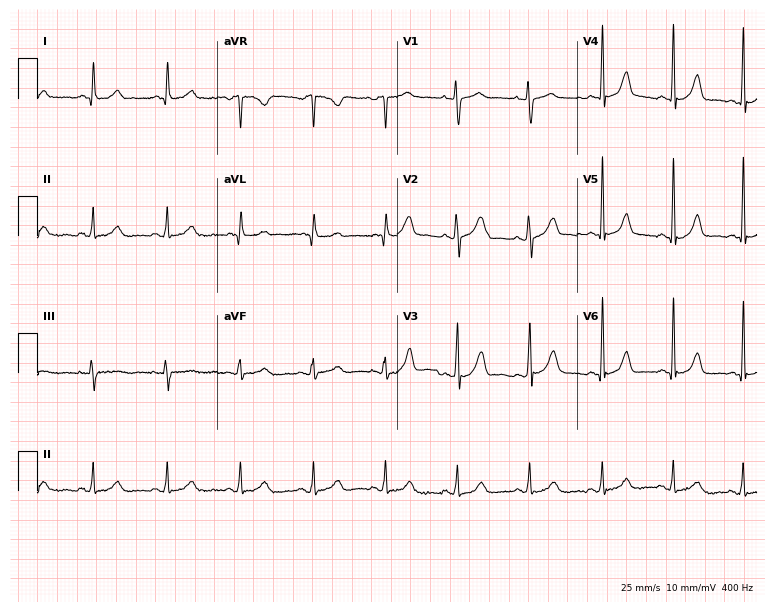
ECG — a 56-year-old female patient. Labelled as a normal ECG.